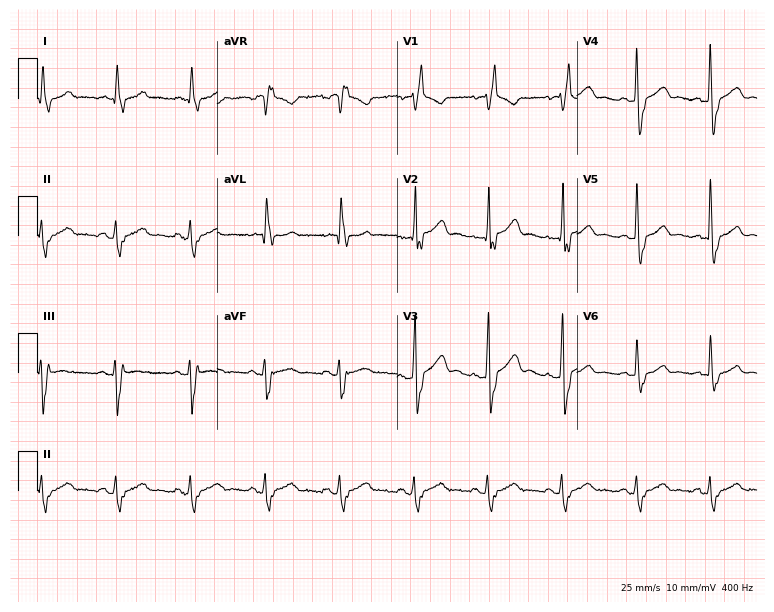
Electrocardiogram, a woman, 82 years old. Interpretation includes right bundle branch block.